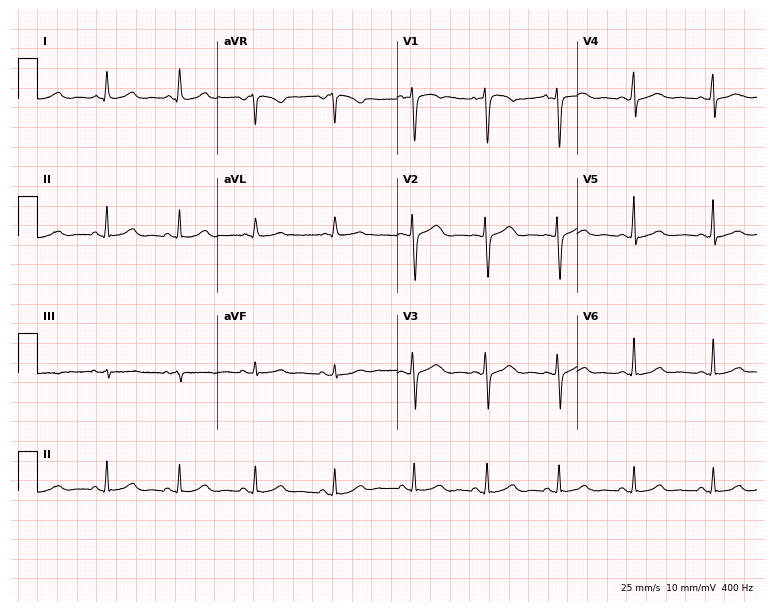
ECG (7.3-second recording at 400 Hz) — a 45-year-old female. Labelled as a normal ECG.